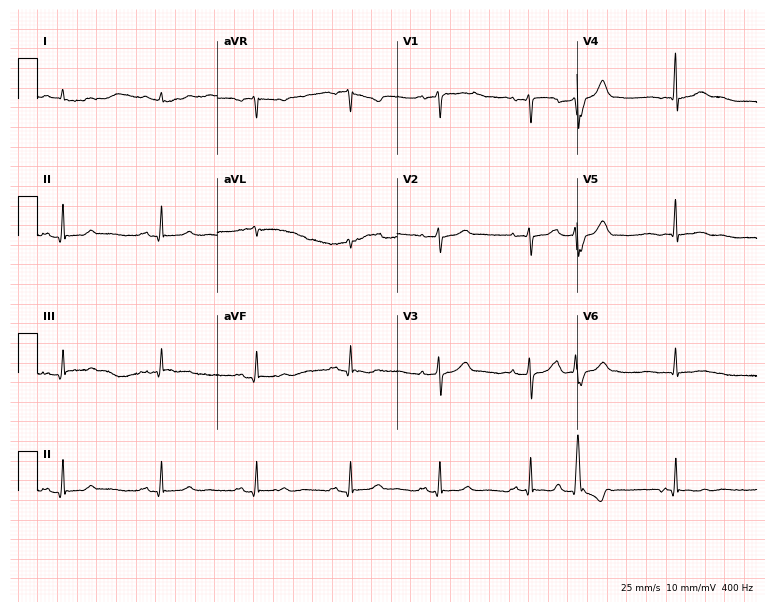
Electrocardiogram (7.3-second recording at 400 Hz), a 79-year-old male patient. Of the six screened findings (first-degree AV block, right bundle branch block, left bundle branch block, sinus bradycardia, atrial fibrillation, sinus tachycardia), none is recorded.